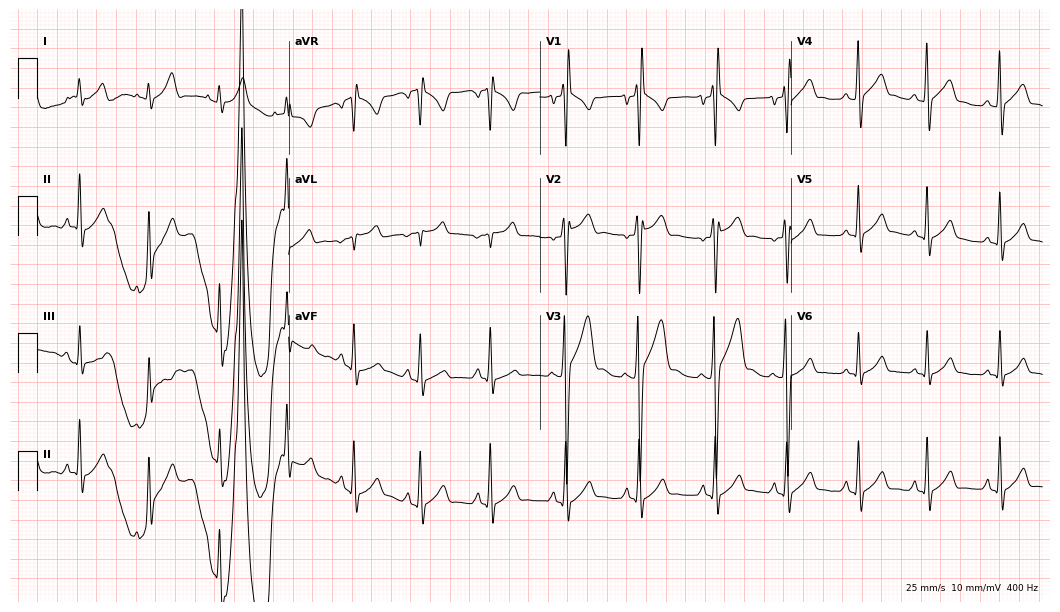
ECG (10.2-second recording at 400 Hz) — an 18-year-old man. Screened for six findings — first-degree AV block, right bundle branch block, left bundle branch block, sinus bradycardia, atrial fibrillation, sinus tachycardia — none is recorded.